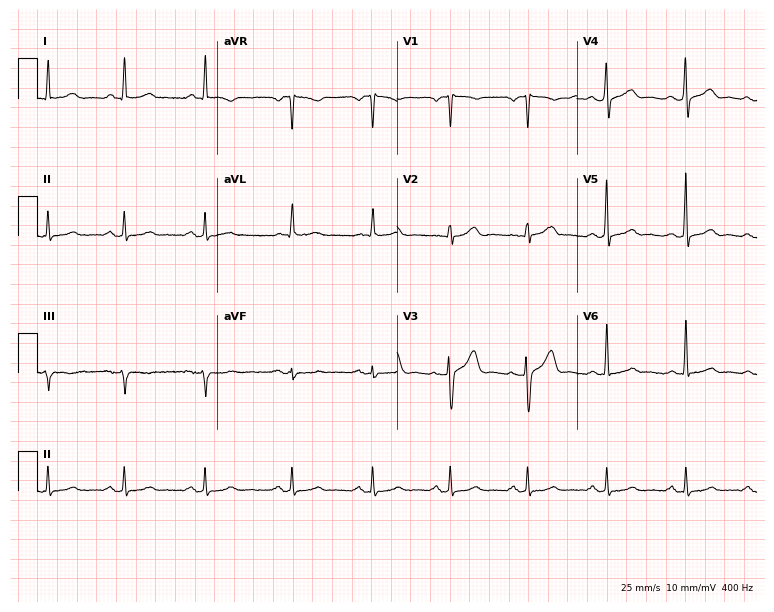
Standard 12-lead ECG recorded from a 58-year-old man (7.3-second recording at 400 Hz). Read as a normal ECG.